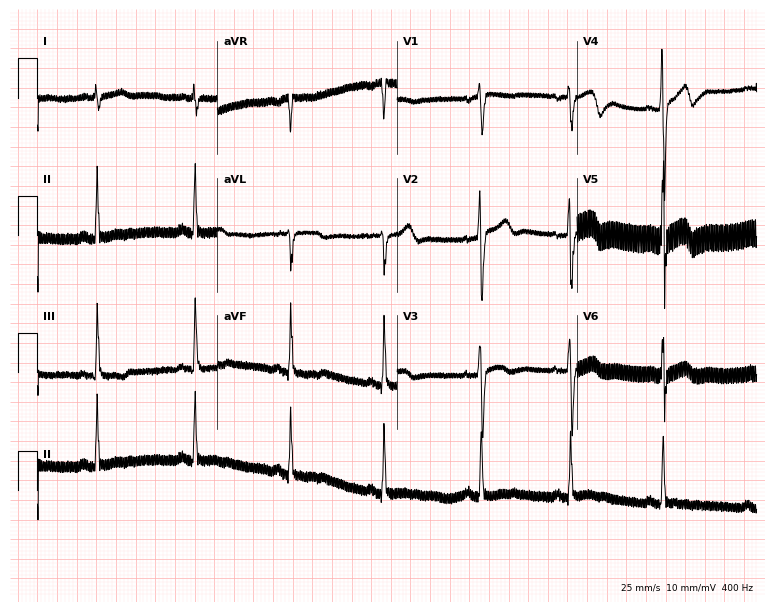
Standard 12-lead ECG recorded from a male patient, 19 years old. None of these six findings is recorded: first-degree AV block, right bundle branch block, left bundle branch block, sinus bradycardia, atrial fibrillation, sinus tachycardia.